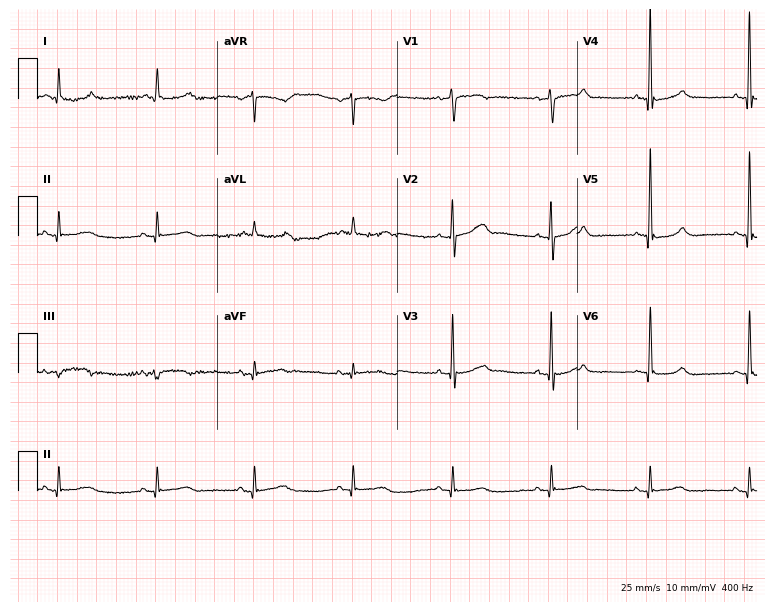
ECG (7.3-second recording at 400 Hz) — a 67-year-old man. Labelled as a normal ECG.